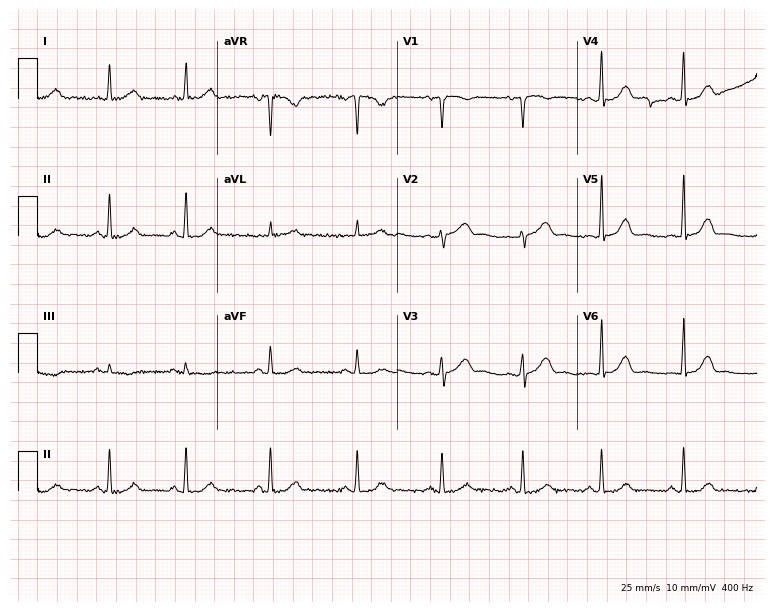
12-lead ECG (7.3-second recording at 400 Hz) from a woman, 43 years old. Labelled as a normal ECG.